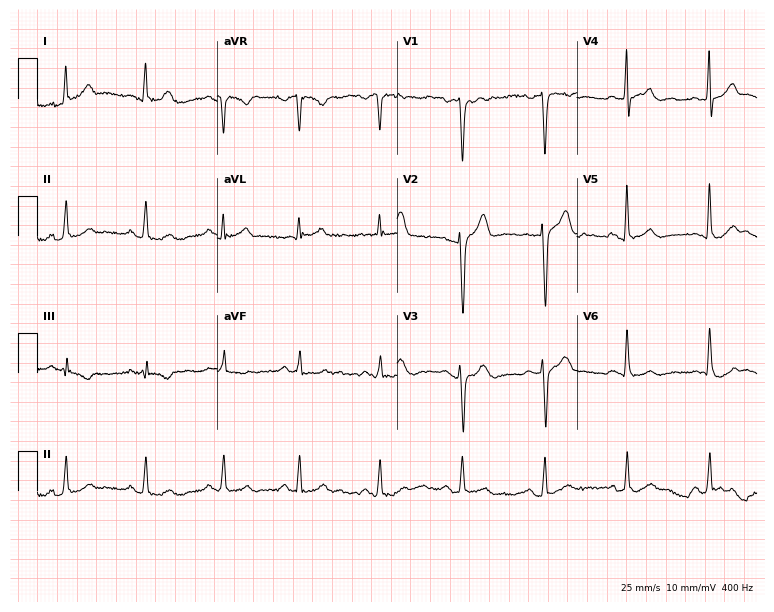
Resting 12-lead electrocardiogram. Patient: a male, 32 years old. None of these six findings is recorded: first-degree AV block, right bundle branch block, left bundle branch block, sinus bradycardia, atrial fibrillation, sinus tachycardia. Only these six findings were labelled.